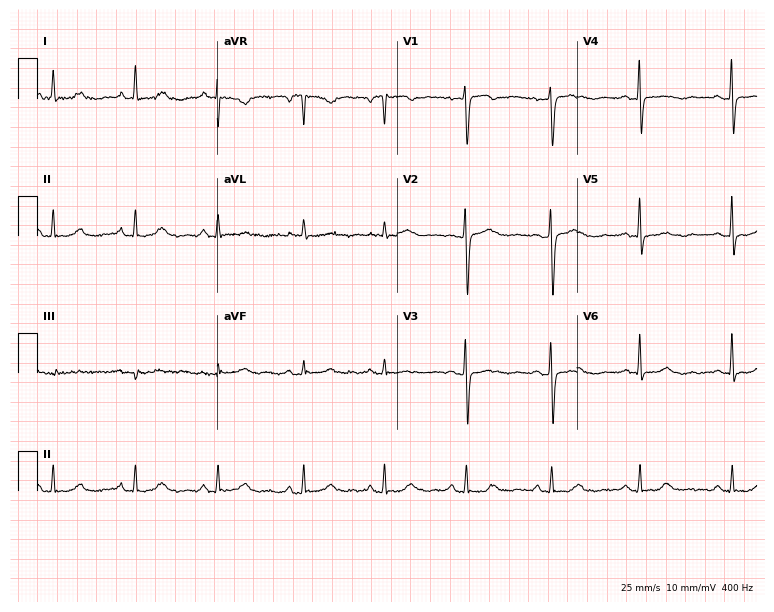
Standard 12-lead ECG recorded from a female, 67 years old. Read as a normal ECG.